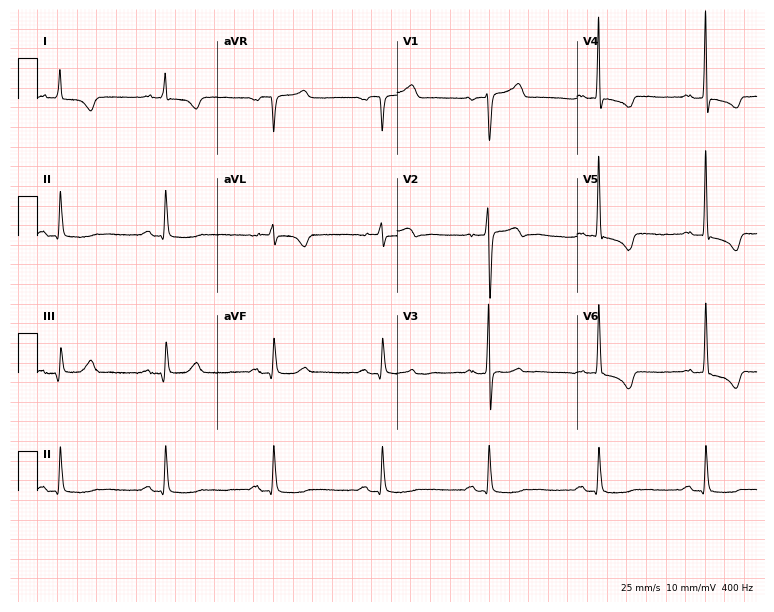
12-lead ECG from a man, 62 years old. Labelled as a normal ECG.